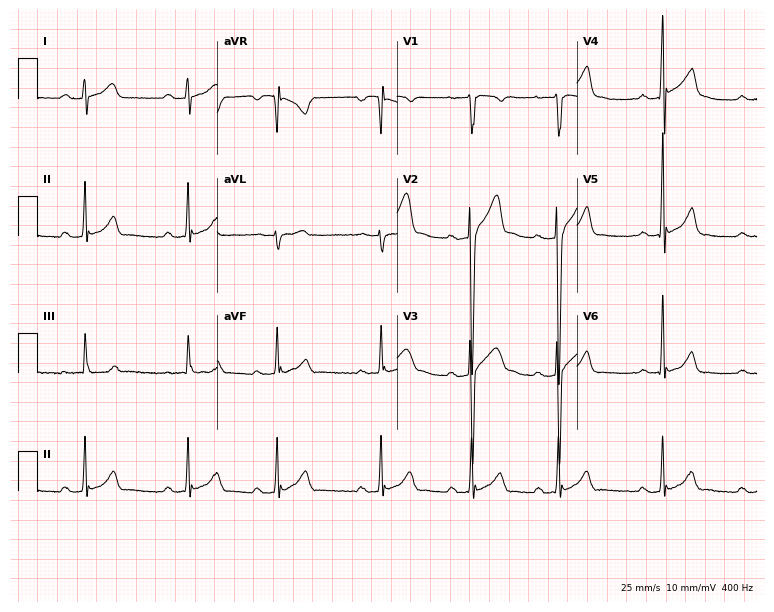
12-lead ECG from a male, 20 years old. Shows first-degree AV block.